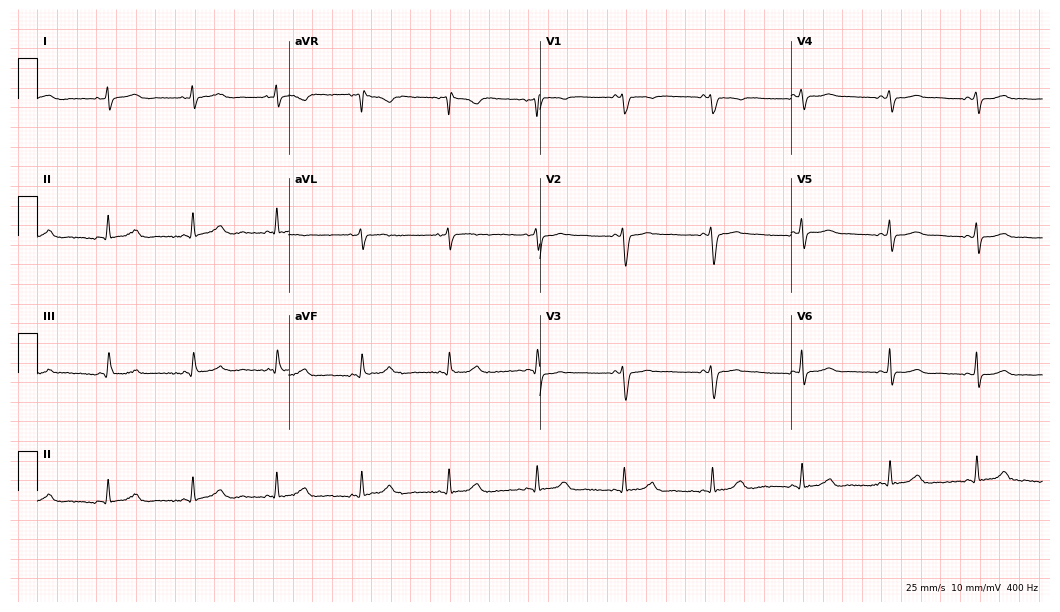
Resting 12-lead electrocardiogram. Patient: a 35-year-old female. None of these six findings is recorded: first-degree AV block, right bundle branch block (RBBB), left bundle branch block (LBBB), sinus bradycardia, atrial fibrillation (AF), sinus tachycardia.